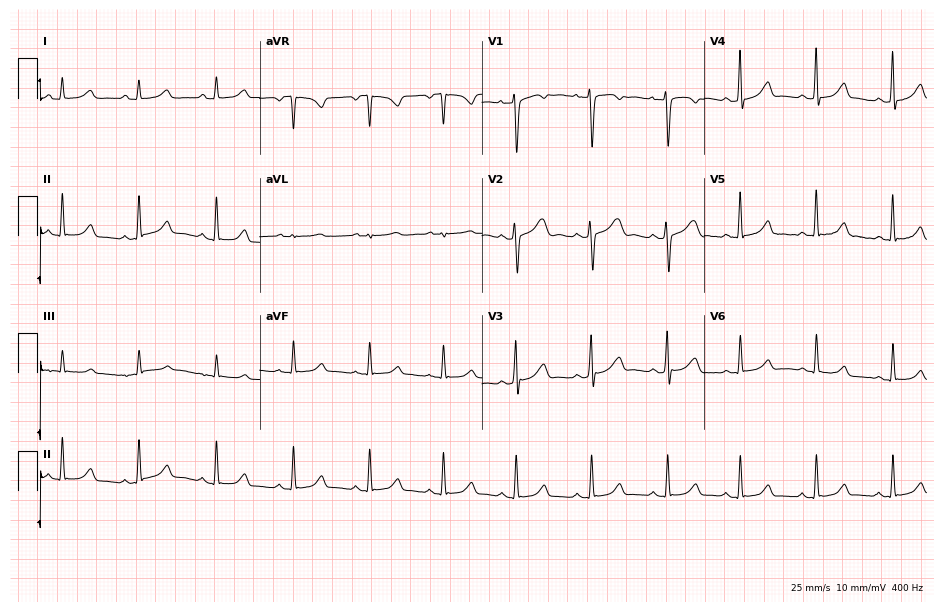
Electrocardiogram, a female, 17 years old. Overall reading on record: normal ECG.